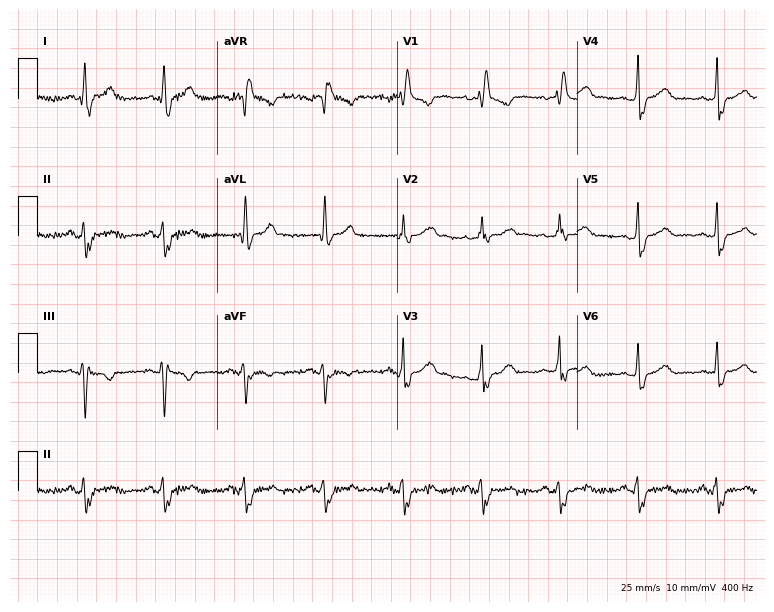
Resting 12-lead electrocardiogram (7.3-second recording at 400 Hz). Patient: a 41-year-old woman. None of these six findings is recorded: first-degree AV block, right bundle branch block, left bundle branch block, sinus bradycardia, atrial fibrillation, sinus tachycardia.